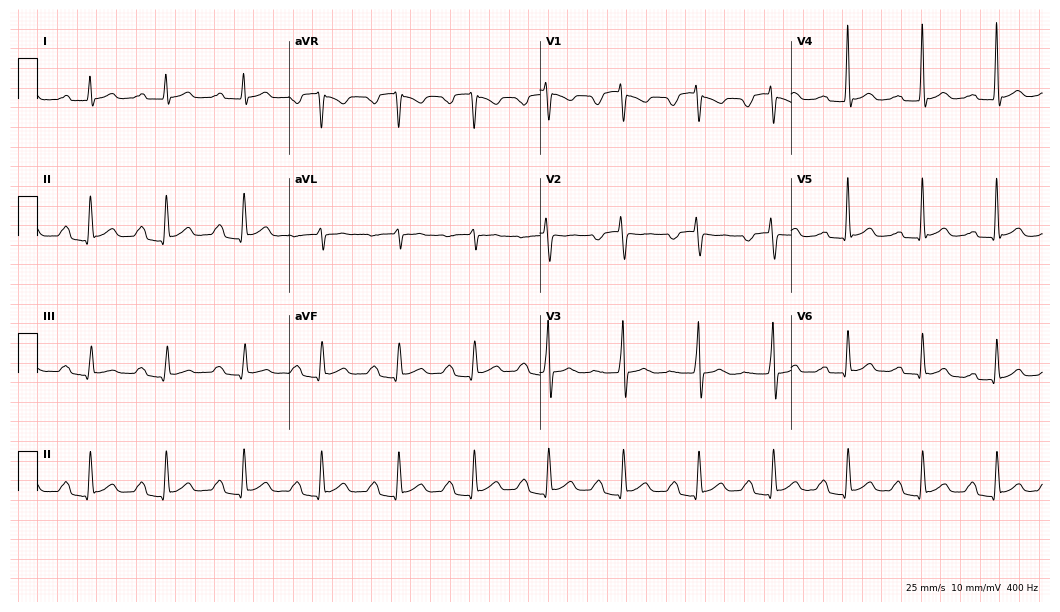
Resting 12-lead electrocardiogram. Patient: a male, 31 years old. The tracing shows first-degree AV block.